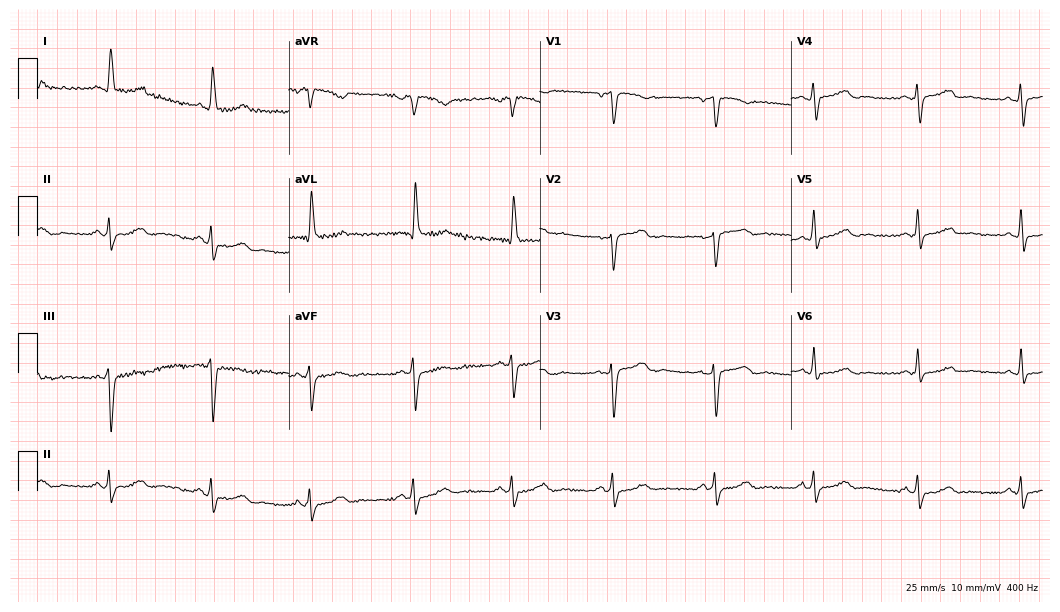
12-lead ECG from a 69-year-old male. Screened for six findings — first-degree AV block, right bundle branch block (RBBB), left bundle branch block (LBBB), sinus bradycardia, atrial fibrillation (AF), sinus tachycardia — none is recorded.